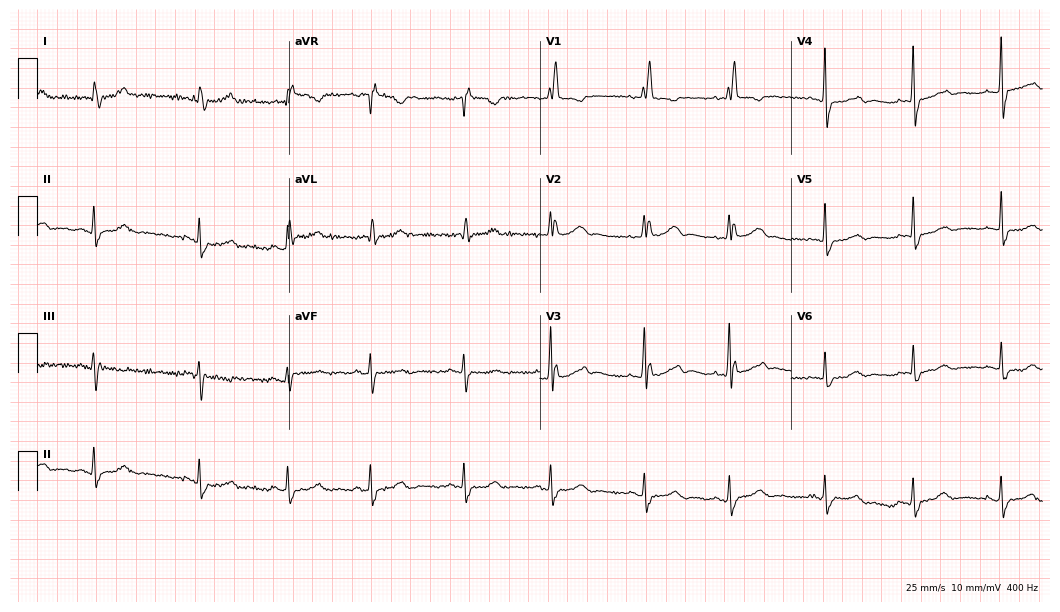
12-lead ECG from an 80-year-old woman. Findings include right bundle branch block.